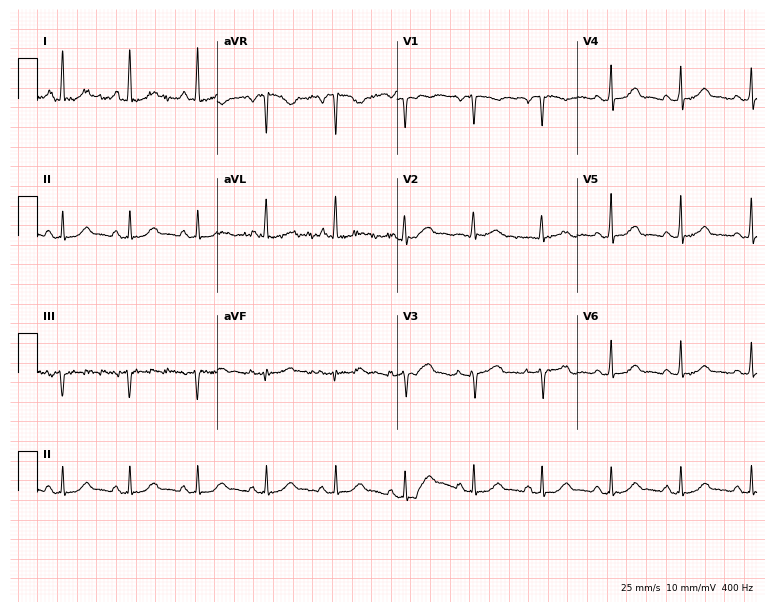
Standard 12-lead ECG recorded from a 58-year-old female patient. Read as a normal ECG.